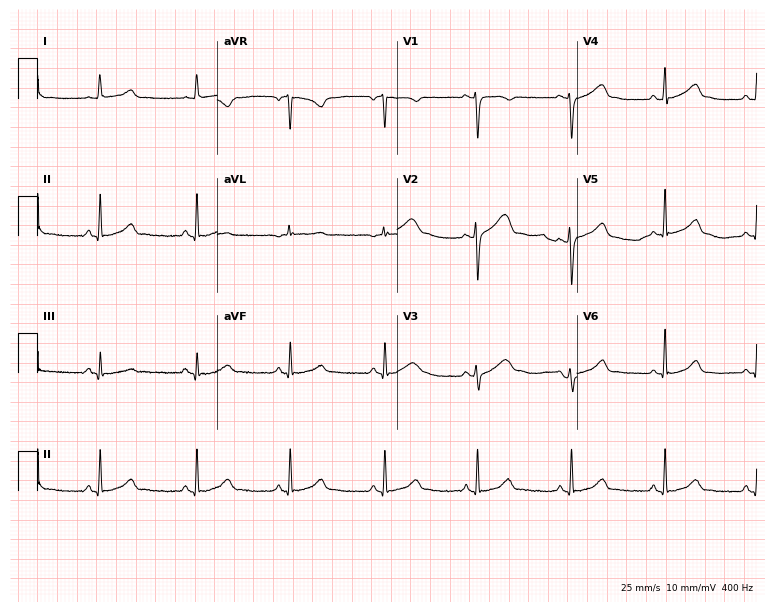
12-lead ECG (7.3-second recording at 400 Hz) from a female, 33 years old. Labelled as a normal ECG.